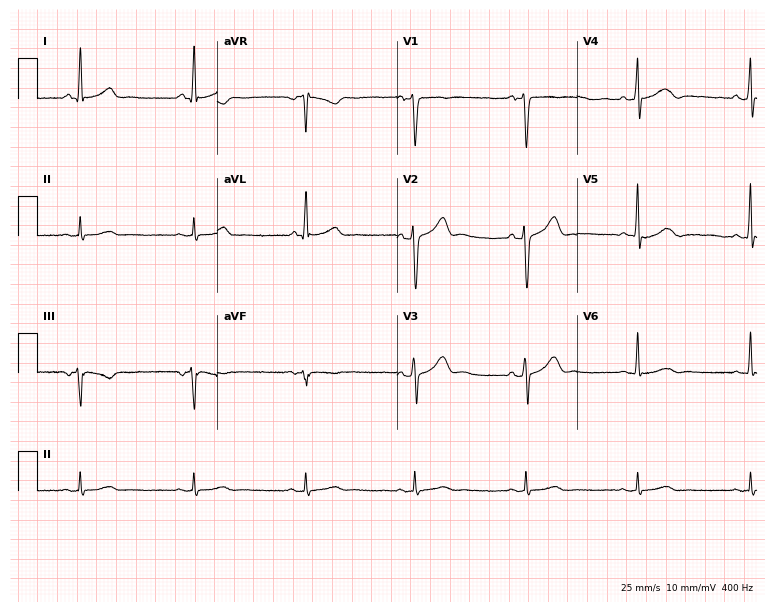
Resting 12-lead electrocardiogram (7.3-second recording at 400 Hz). Patient: a male, 64 years old. None of these six findings is recorded: first-degree AV block, right bundle branch block, left bundle branch block, sinus bradycardia, atrial fibrillation, sinus tachycardia.